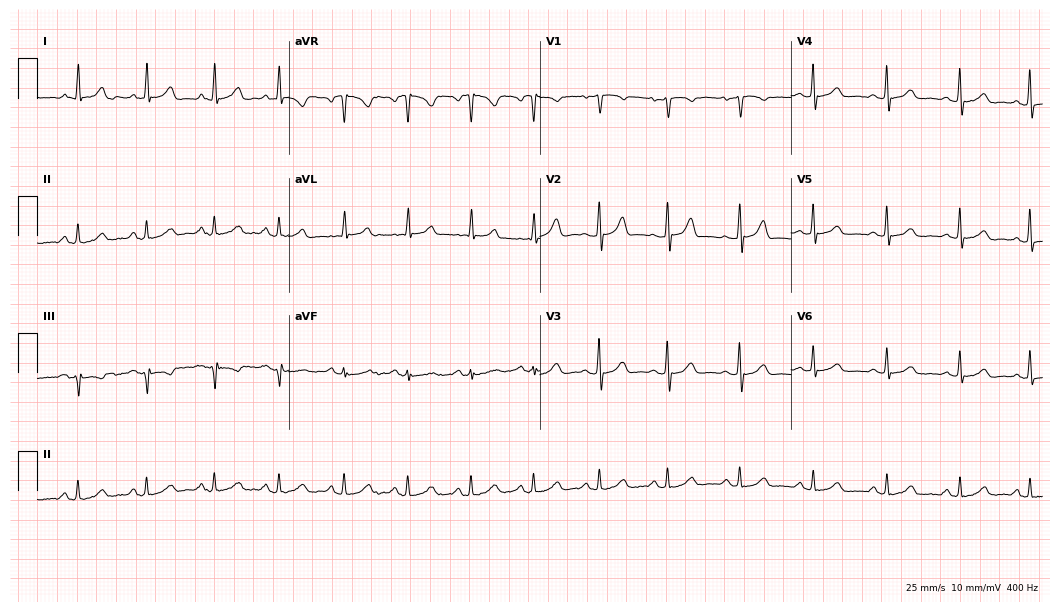
12-lead ECG (10.2-second recording at 400 Hz) from a woman, 51 years old. Labelled as a normal ECG.